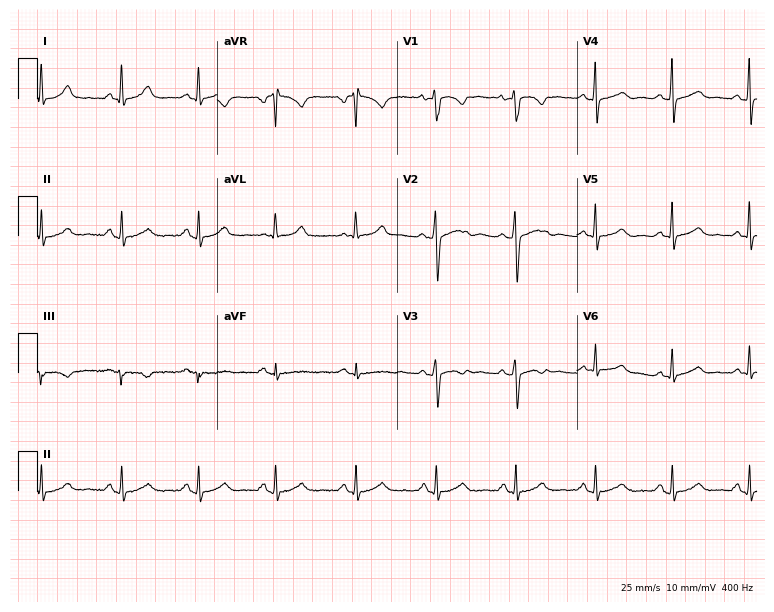
ECG (7.3-second recording at 400 Hz) — a 41-year-old female patient. Labelled as a normal ECG.